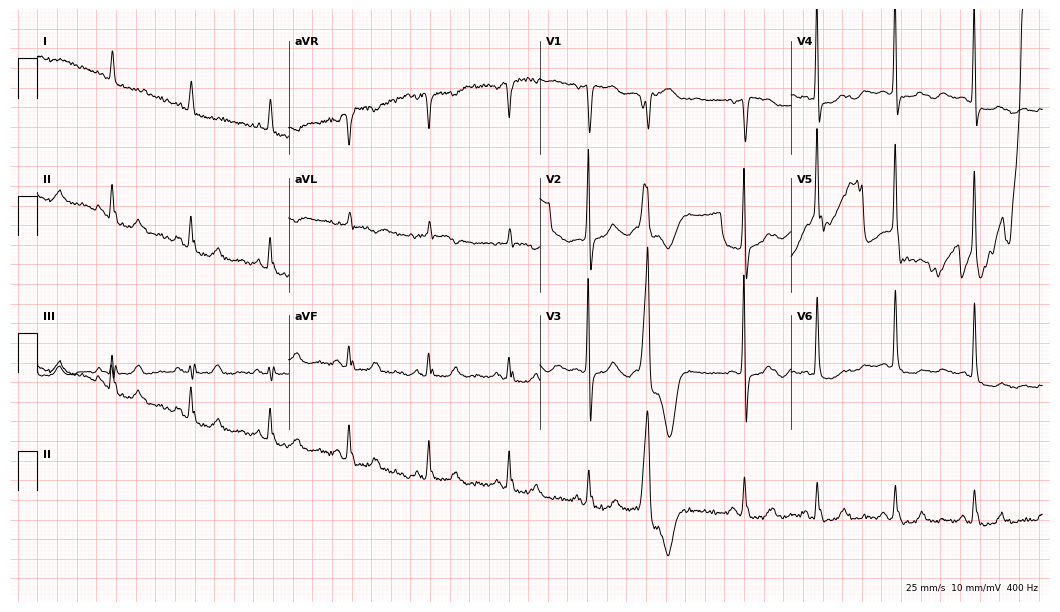
Resting 12-lead electrocardiogram. Patient: a woman, 80 years old. None of these six findings is recorded: first-degree AV block, right bundle branch block (RBBB), left bundle branch block (LBBB), sinus bradycardia, atrial fibrillation (AF), sinus tachycardia. Only these six findings were labelled.